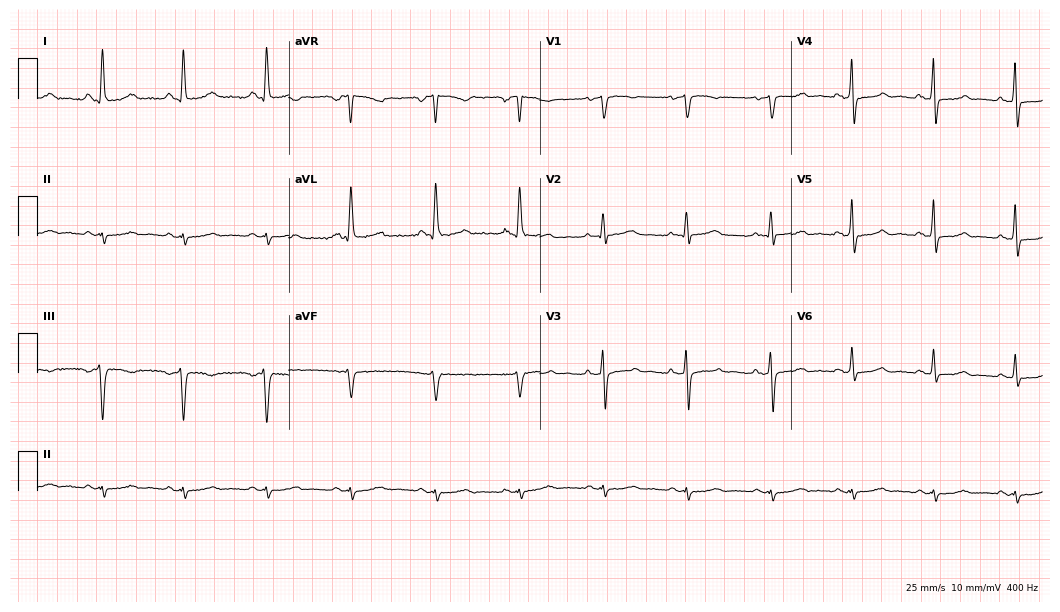
12-lead ECG from a female, 60 years old. Screened for six findings — first-degree AV block, right bundle branch block (RBBB), left bundle branch block (LBBB), sinus bradycardia, atrial fibrillation (AF), sinus tachycardia — none is recorded. Findings outside these six are not listed.